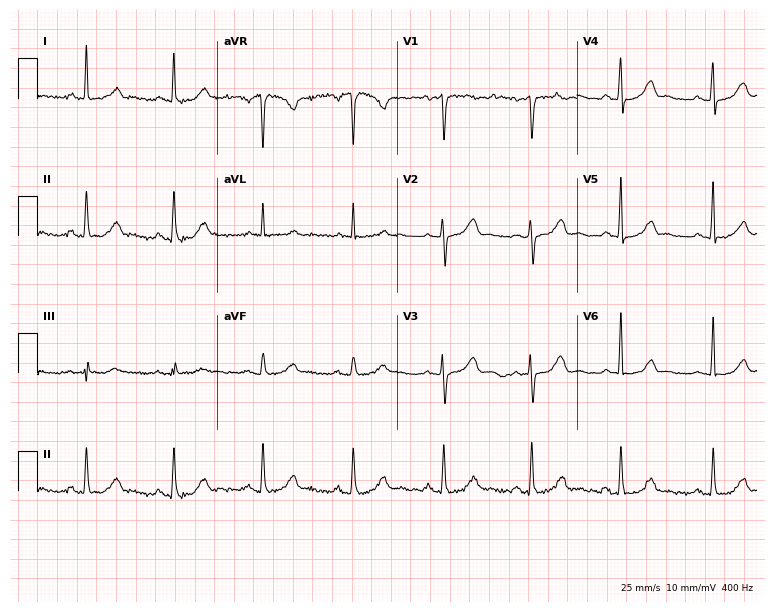
12-lead ECG (7.3-second recording at 400 Hz) from a 53-year-old female. Labelled as a normal ECG.